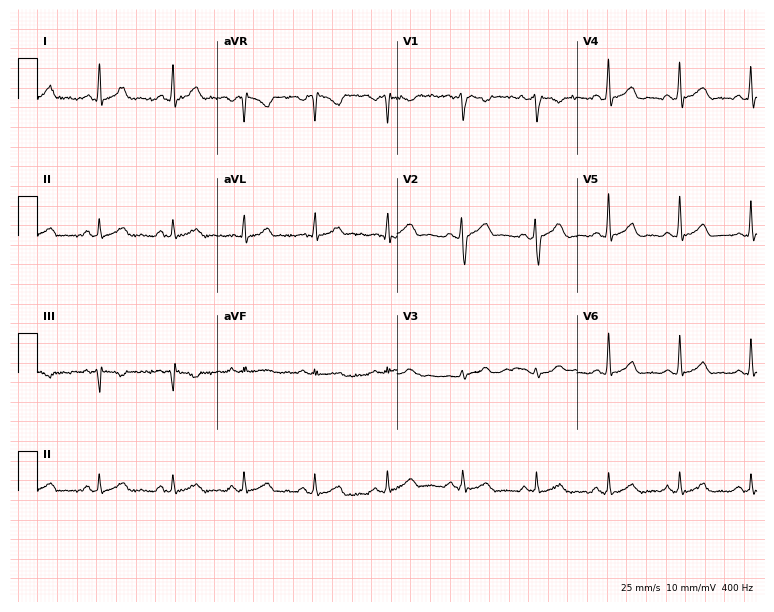
Resting 12-lead electrocardiogram. Patient: a 34-year-old woman. None of these six findings is recorded: first-degree AV block, right bundle branch block, left bundle branch block, sinus bradycardia, atrial fibrillation, sinus tachycardia. Only these six findings were labelled.